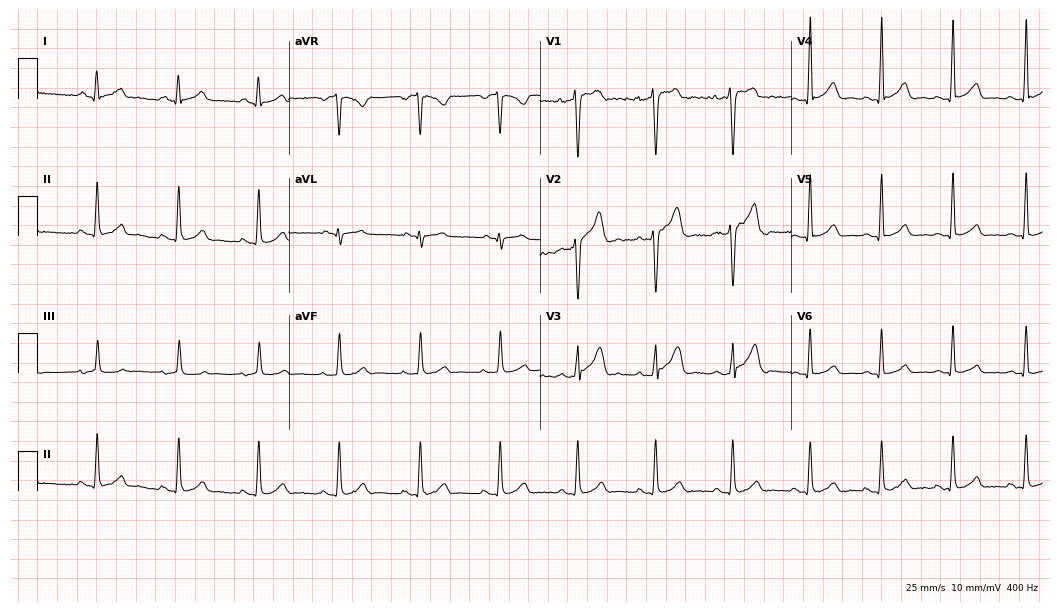
Resting 12-lead electrocardiogram. Patient: a male, 24 years old. None of these six findings is recorded: first-degree AV block, right bundle branch block (RBBB), left bundle branch block (LBBB), sinus bradycardia, atrial fibrillation (AF), sinus tachycardia. Only these six findings were labelled.